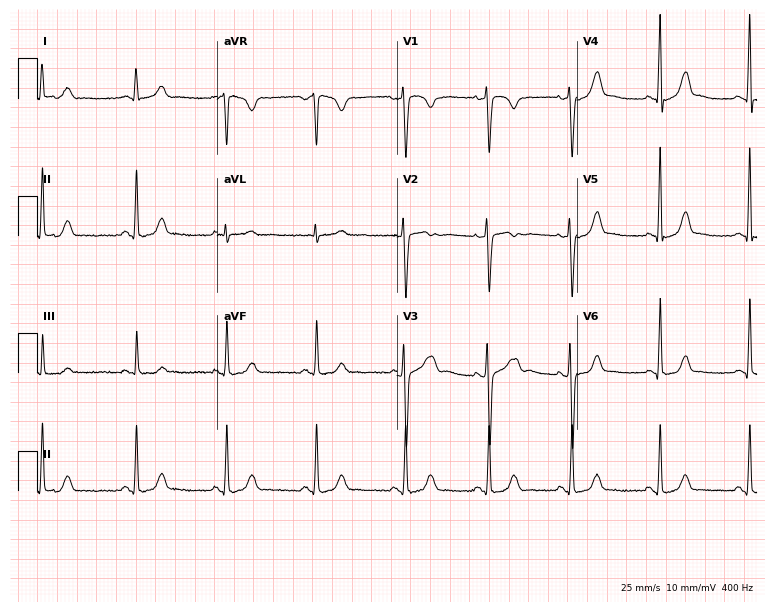
ECG (7.3-second recording at 400 Hz) — an 18-year-old female. Labelled as a normal ECG.